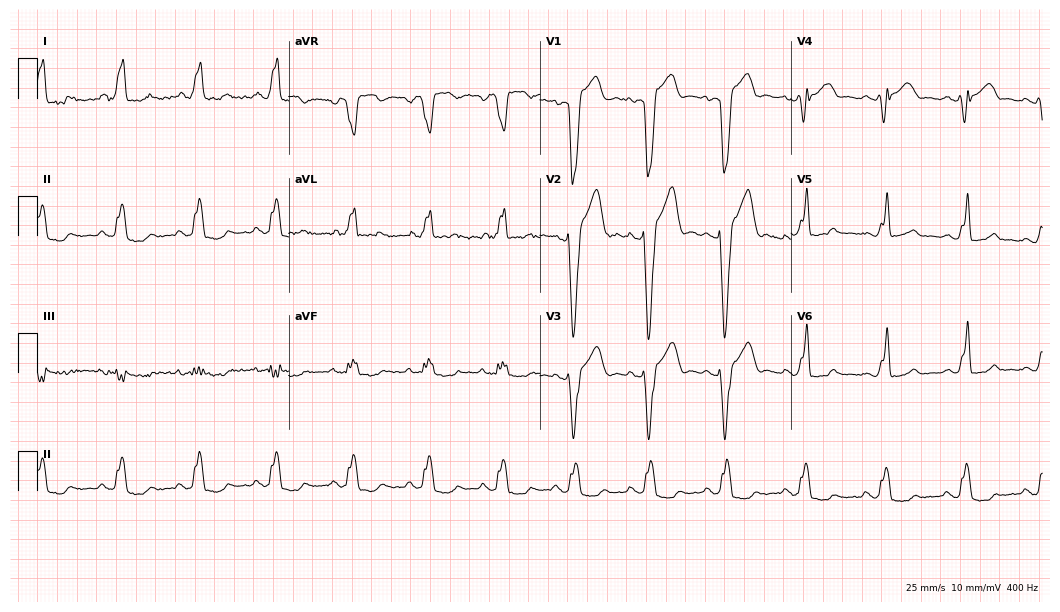
12-lead ECG from a 44-year-old male patient. Shows left bundle branch block.